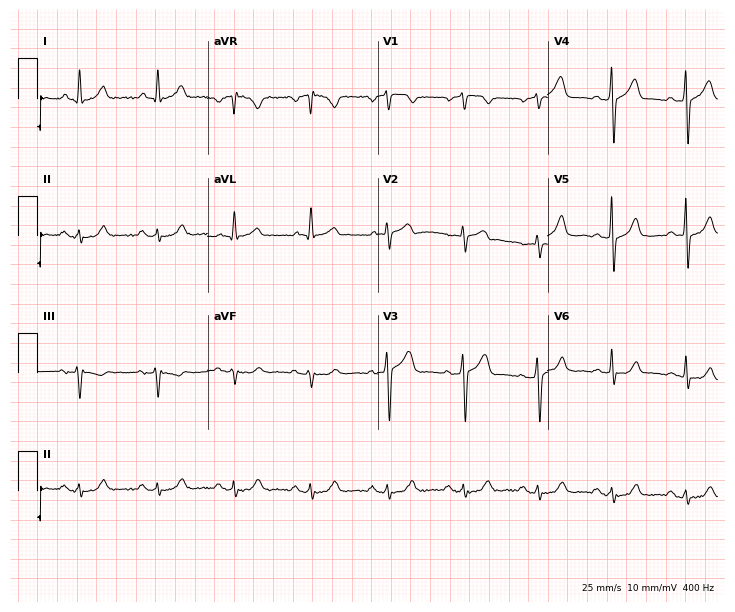
ECG — a male, 52 years old. Screened for six findings — first-degree AV block, right bundle branch block, left bundle branch block, sinus bradycardia, atrial fibrillation, sinus tachycardia — none is recorded. Only these six findings were labelled.